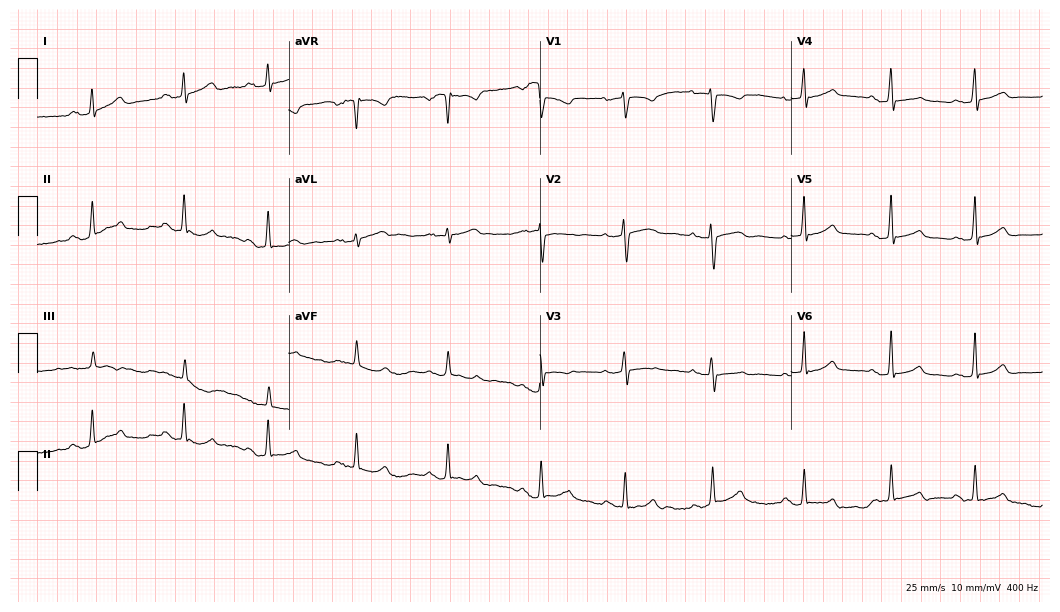
Electrocardiogram (10.2-second recording at 400 Hz), a female, 36 years old. Overall reading on record: normal ECG.